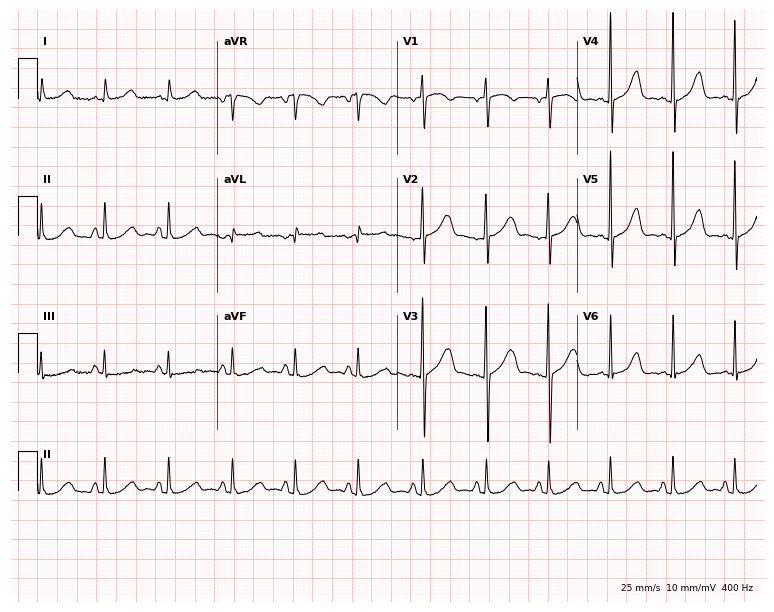
12-lead ECG from a 49-year-old woman (7.3-second recording at 400 Hz). Recorded interpretation: within normal limits.